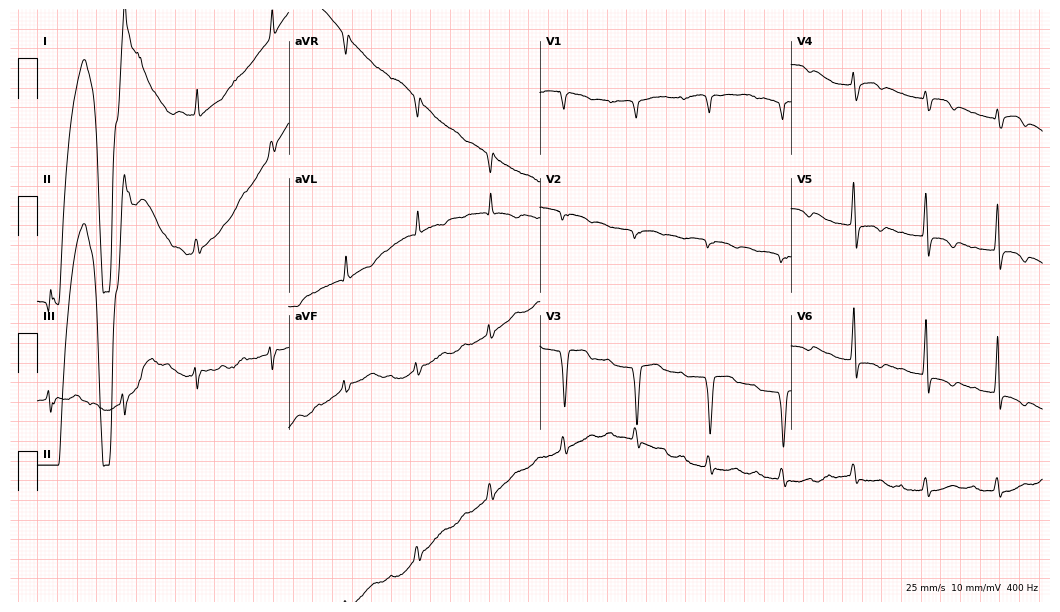
Standard 12-lead ECG recorded from an 85-year-old female (10.2-second recording at 400 Hz). None of these six findings is recorded: first-degree AV block, right bundle branch block, left bundle branch block, sinus bradycardia, atrial fibrillation, sinus tachycardia.